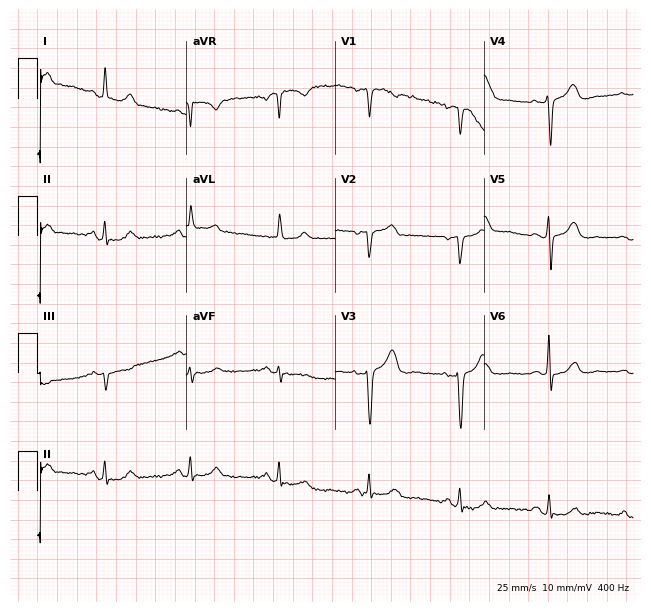
Electrocardiogram (6.1-second recording at 400 Hz), a 68-year-old woman. Overall reading on record: normal ECG.